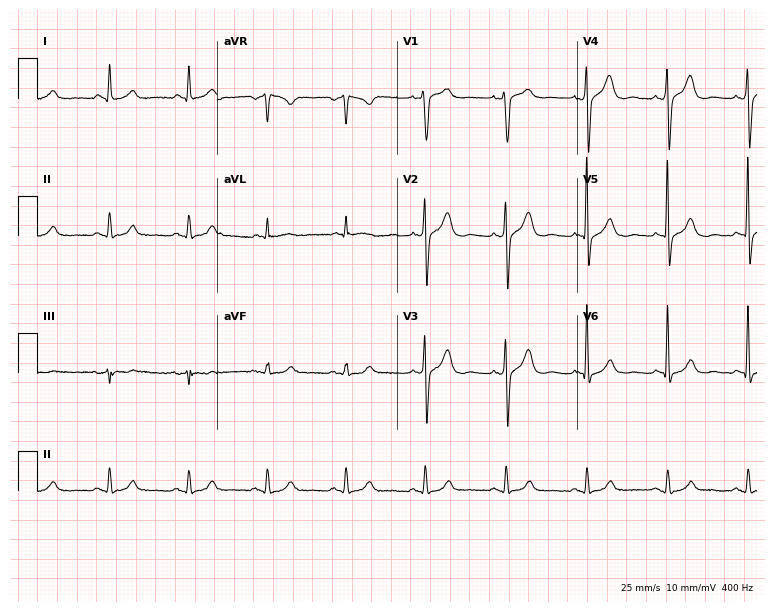
Resting 12-lead electrocardiogram (7.3-second recording at 400 Hz). Patient: a man, 64 years old. None of these six findings is recorded: first-degree AV block, right bundle branch block, left bundle branch block, sinus bradycardia, atrial fibrillation, sinus tachycardia. Other findings, if any, are not listed.